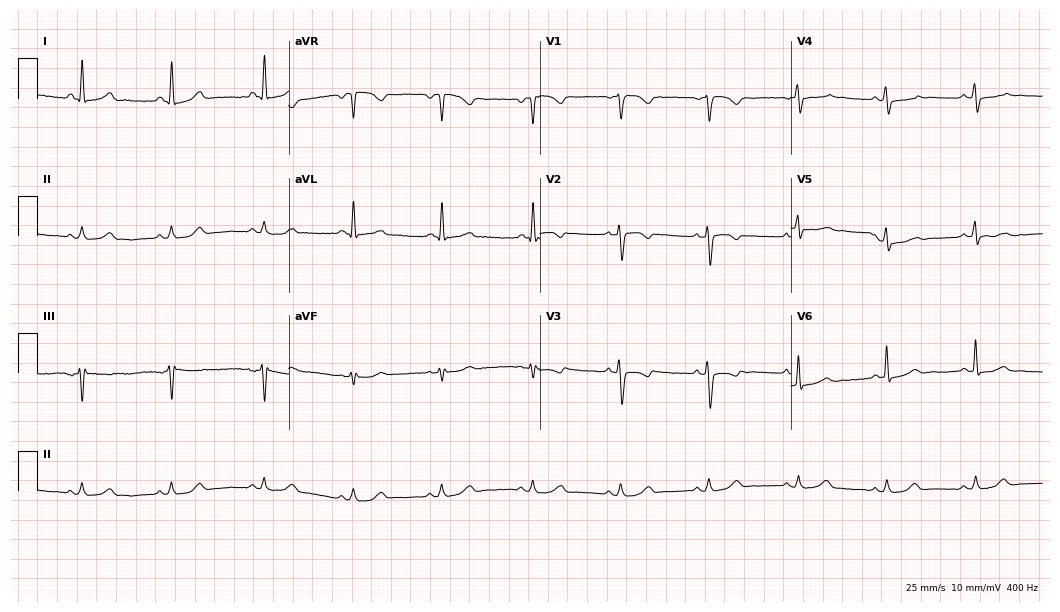
Electrocardiogram (10.2-second recording at 400 Hz), a female, 47 years old. Overall reading on record: normal ECG.